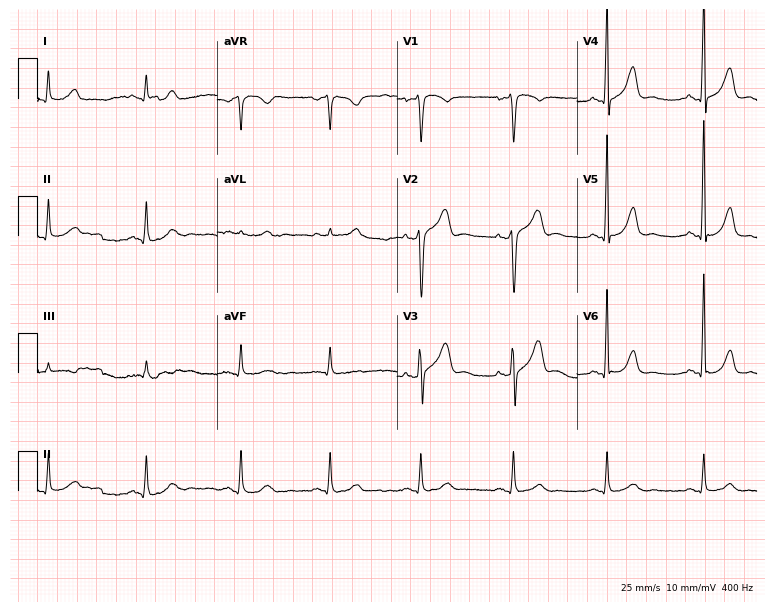
12-lead ECG (7.3-second recording at 400 Hz) from a 49-year-old male patient. Screened for six findings — first-degree AV block, right bundle branch block, left bundle branch block, sinus bradycardia, atrial fibrillation, sinus tachycardia — none is recorded. Findings outside these six are not listed.